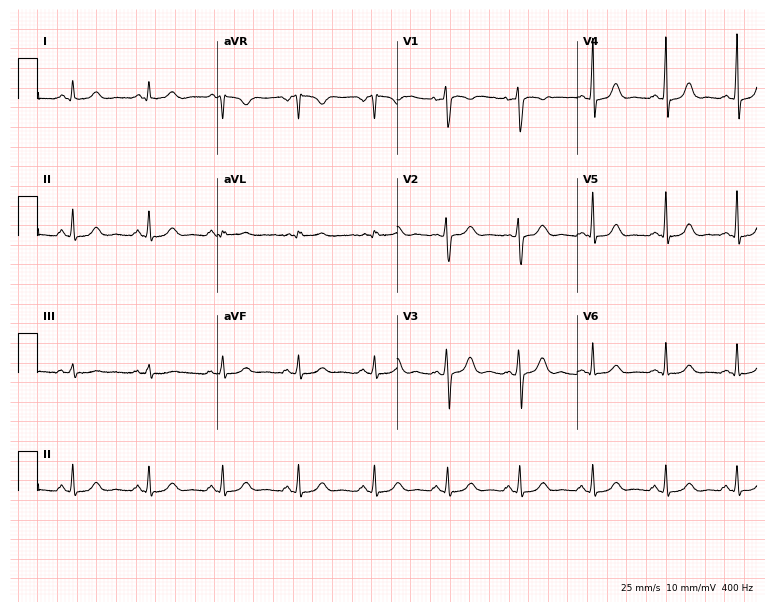
Standard 12-lead ECG recorded from a female, 22 years old. Read as a normal ECG.